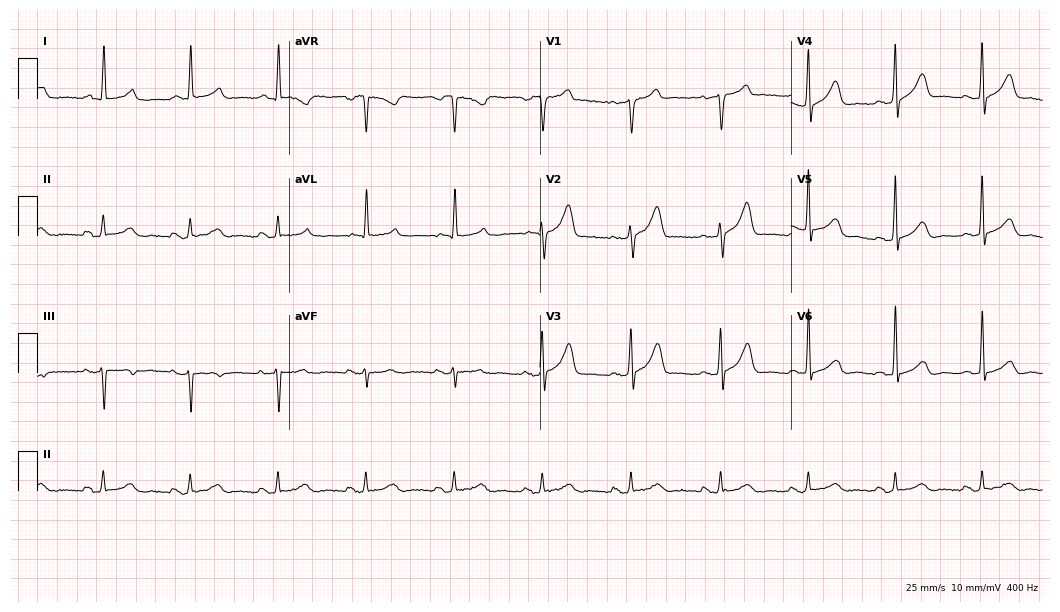
ECG — a male, 59 years old. Labelled as a normal ECG.